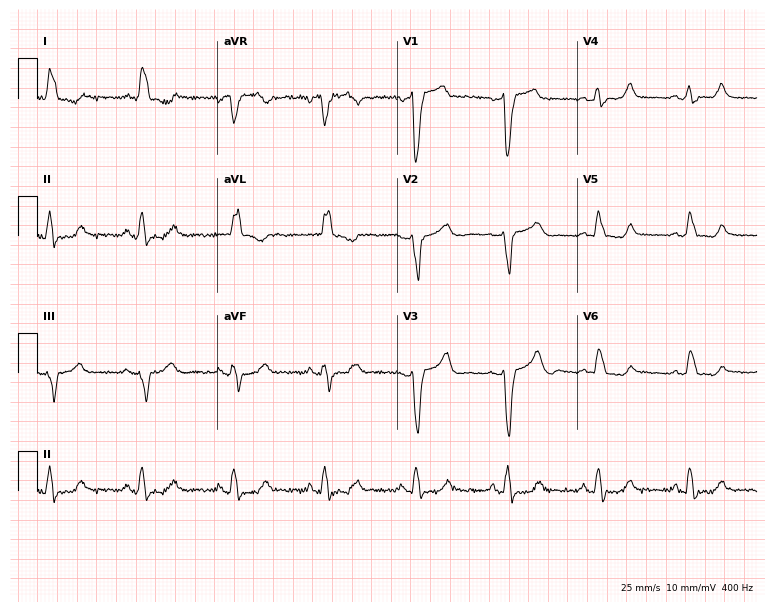
ECG (7.3-second recording at 400 Hz) — a female, 74 years old. Findings include left bundle branch block.